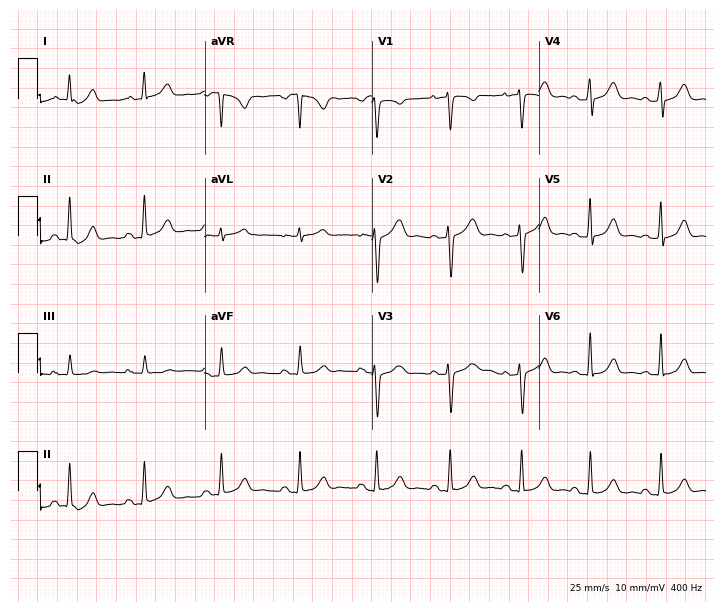
ECG — a 30-year-old woman. Screened for six findings — first-degree AV block, right bundle branch block (RBBB), left bundle branch block (LBBB), sinus bradycardia, atrial fibrillation (AF), sinus tachycardia — none is recorded.